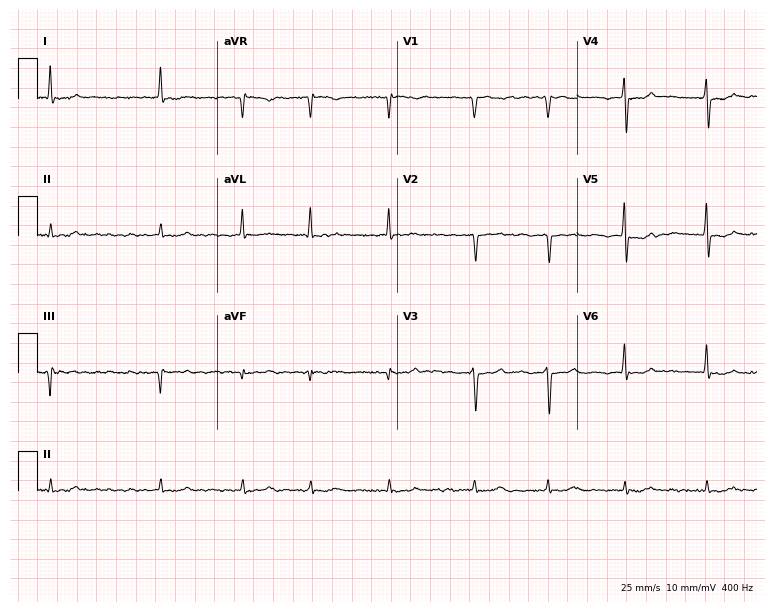
Electrocardiogram, a male patient, 57 years old. Interpretation includes atrial fibrillation.